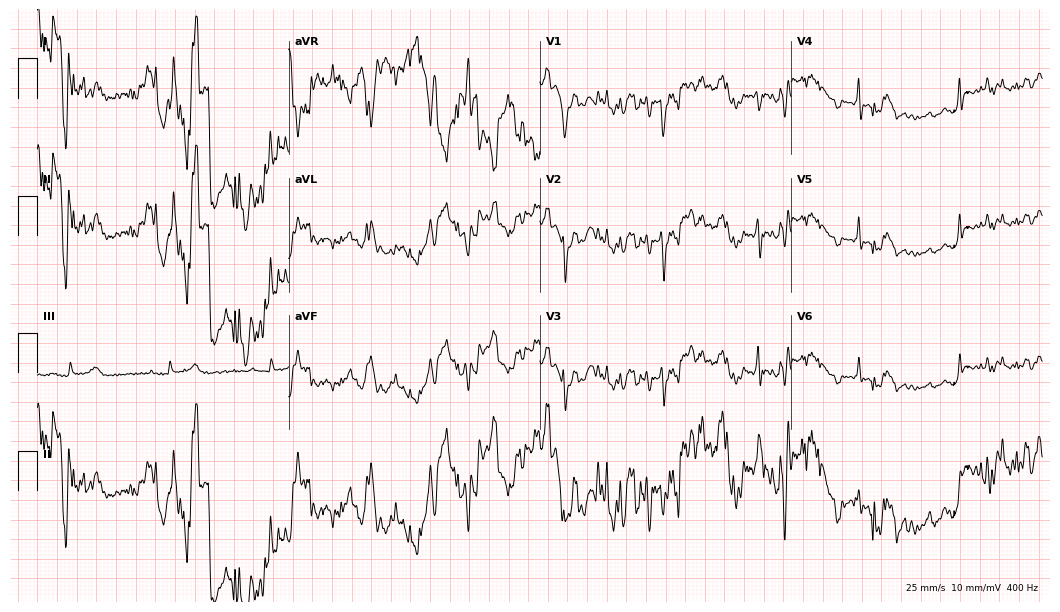
12-lead ECG from a 49-year-old male. Screened for six findings — first-degree AV block, right bundle branch block, left bundle branch block, sinus bradycardia, atrial fibrillation, sinus tachycardia — none is recorded. Other findings, if any, are not listed.